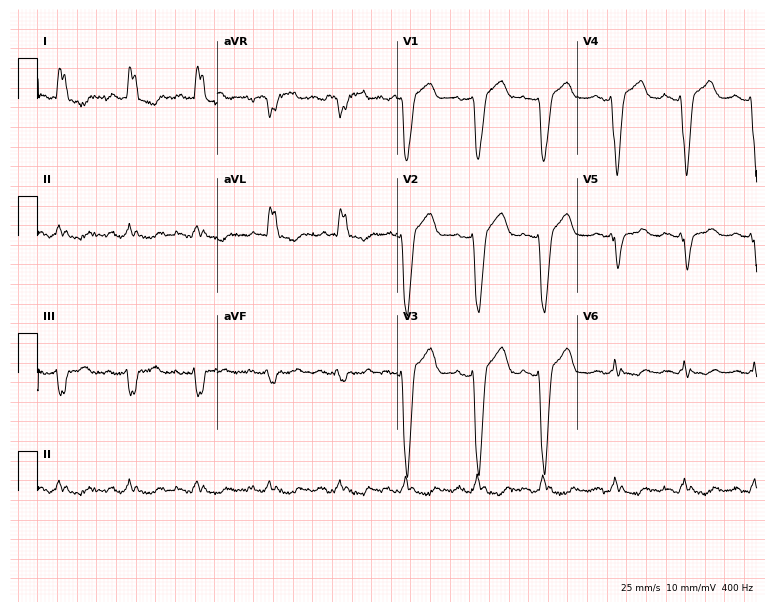
12-lead ECG from a 73-year-old woman. No first-degree AV block, right bundle branch block, left bundle branch block, sinus bradycardia, atrial fibrillation or sinus tachycardia recorded for this tracing. Other findings, if any, are not listed.